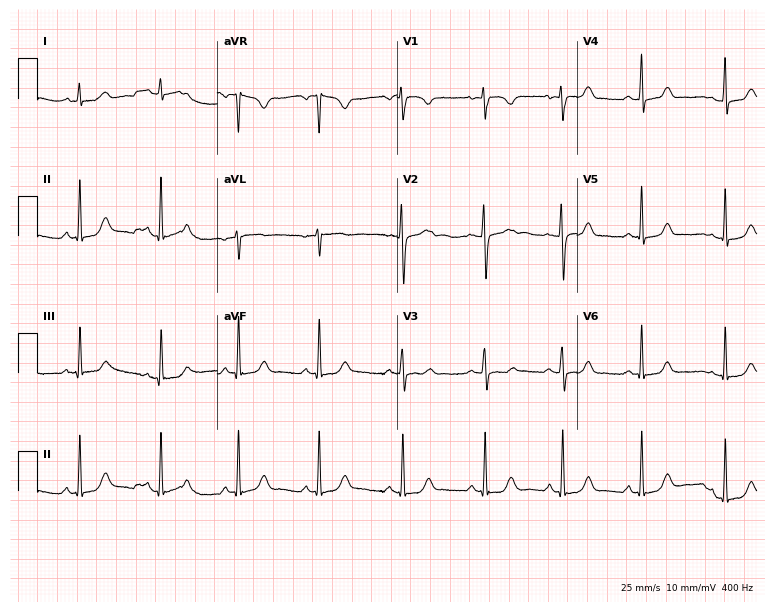
Standard 12-lead ECG recorded from a 20-year-old female patient. None of these six findings is recorded: first-degree AV block, right bundle branch block (RBBB), left bundle branch block (LBBB), sinus bradycardia, atrial fibrillation (AF), sinus tachycardia.